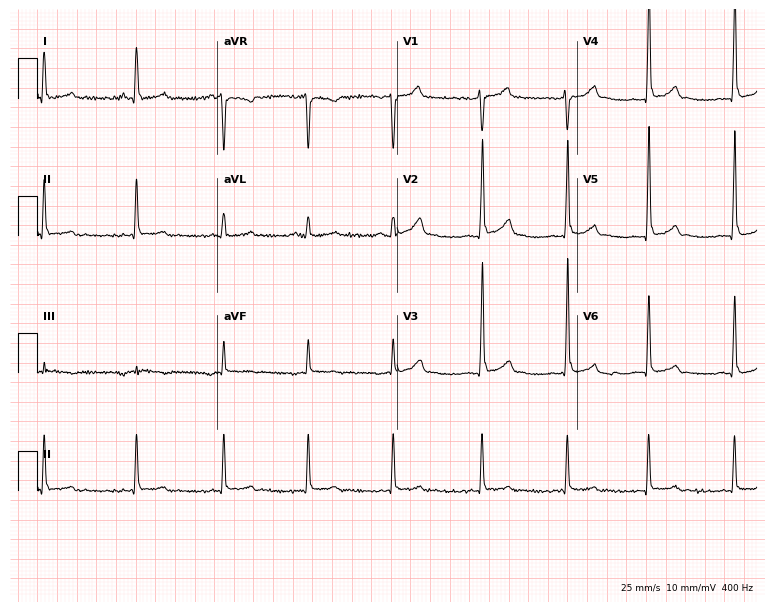
12-lead ECG from a 35-year-old male patient. Labelled as a normal ECG.